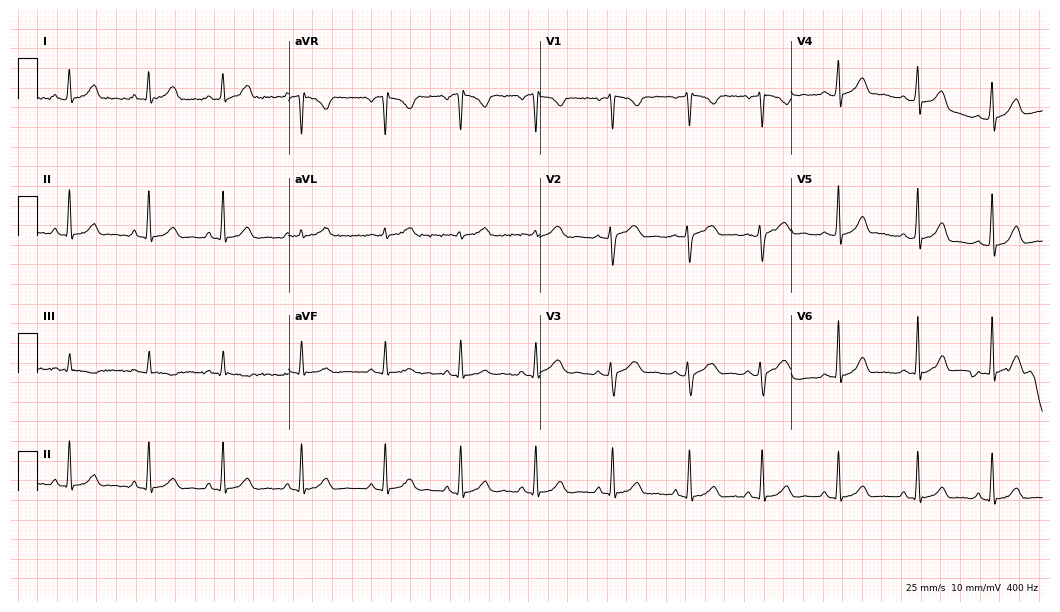
Electrocardiogram, a 26-year-old female patient. Of the six screened findings (first-degree AV block, right bundle branch block, left bundle branch block, sinus bradycardia, atrial fibrillation, sinus tachycardia), none is recorded.